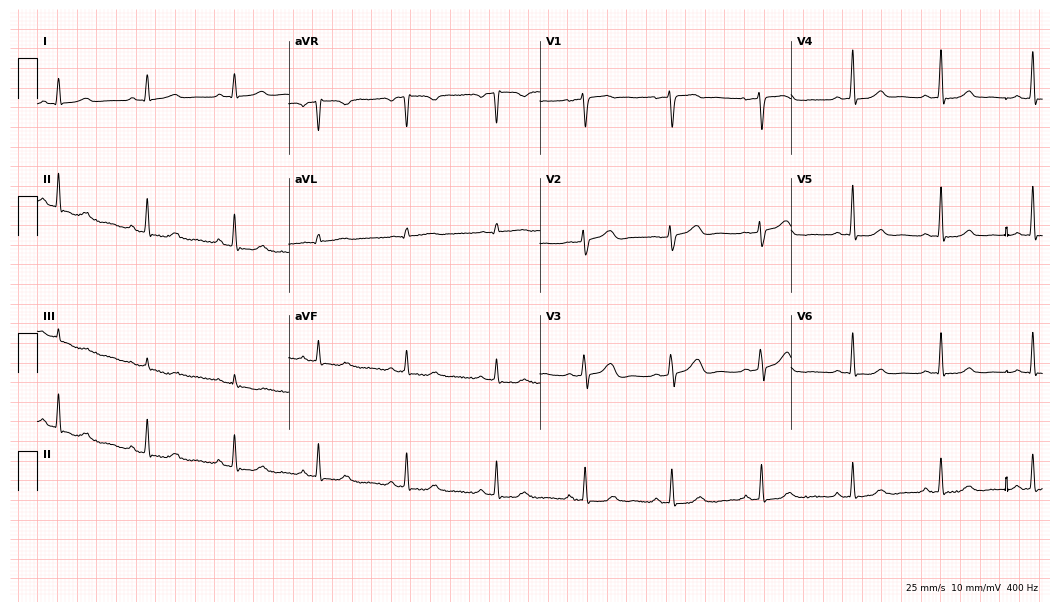
Electrocardiogram (10.2-second recording at 400 Hz), a 32-year-old female. Overall reading on record: normal ECG.